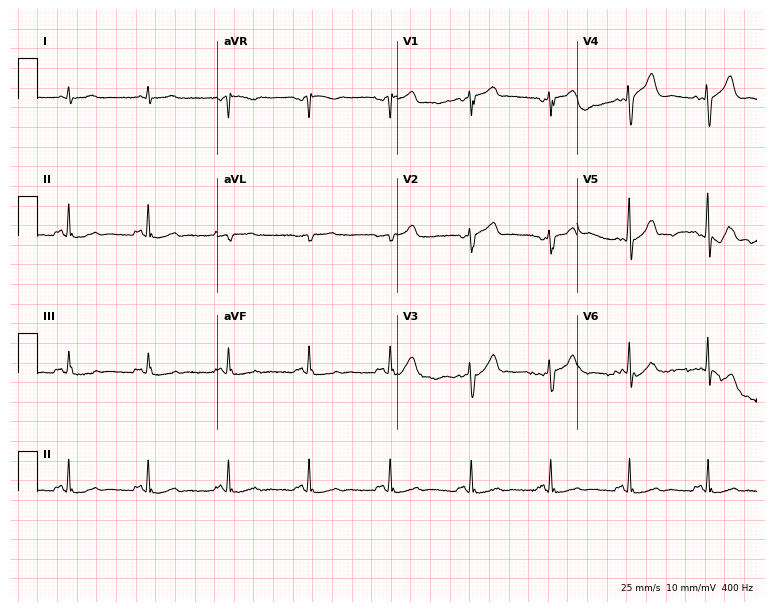
Resting 12-lead electrocardiogram (7.3-second recording at 400 Hz). Patient: a man, 73 years old. None of these six findings is recorded: first-degree AV block, right bundle branch block, left bundle branch block, sinus bradycardia, atrial fibrillation, sinus tachycardia.